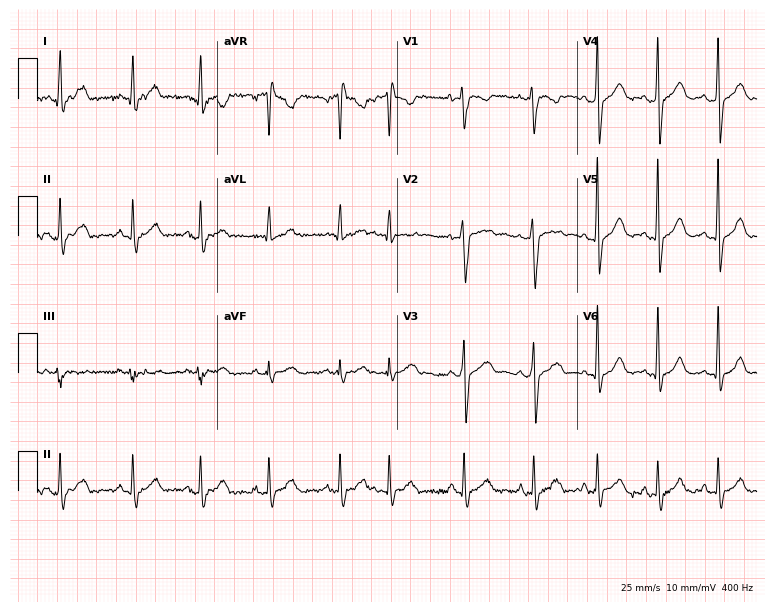
ECG (7.3-second recording at 400 Hz) — a 29-year-old female. Screened for six findings — first-degree AV block, right bundle branch block (RBBB), left bundle branch block (LBBB), sinus bradycardia, atrial fibrillation (AF), sinus tachycardia — none is recorded.